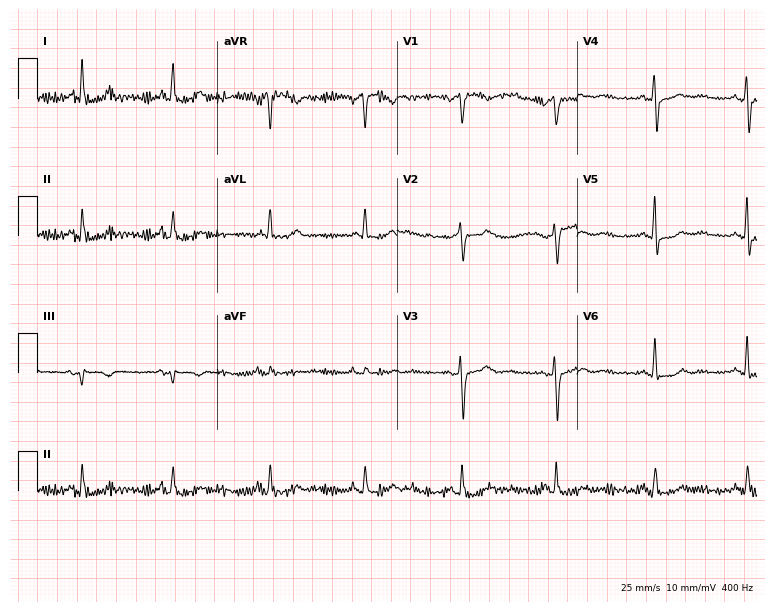
Standard 12-lead ECG recorded from a 63-year-old female. None of these six findings is recorded: first-degree AV block, right bundle branch block (RBBB), left bundle branch block (LBBB), sinus bradycardia, atrial fibrillation (AF), sinus tachycardia. Findings outside these six are not listed.